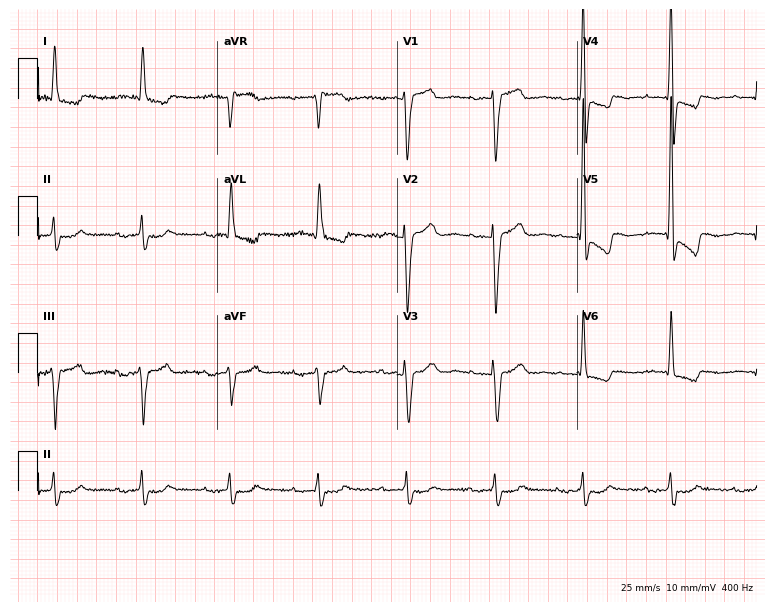
Standard 12-lead ECG recorded from a 79-year-old male (7.3-second recording at 400 Hz). None of these six findings is recorded: first-degree AV block, right bundle branch block, left bundle branch block, sinus bradycardia, atrial fibrillation, sinus tachycardia.